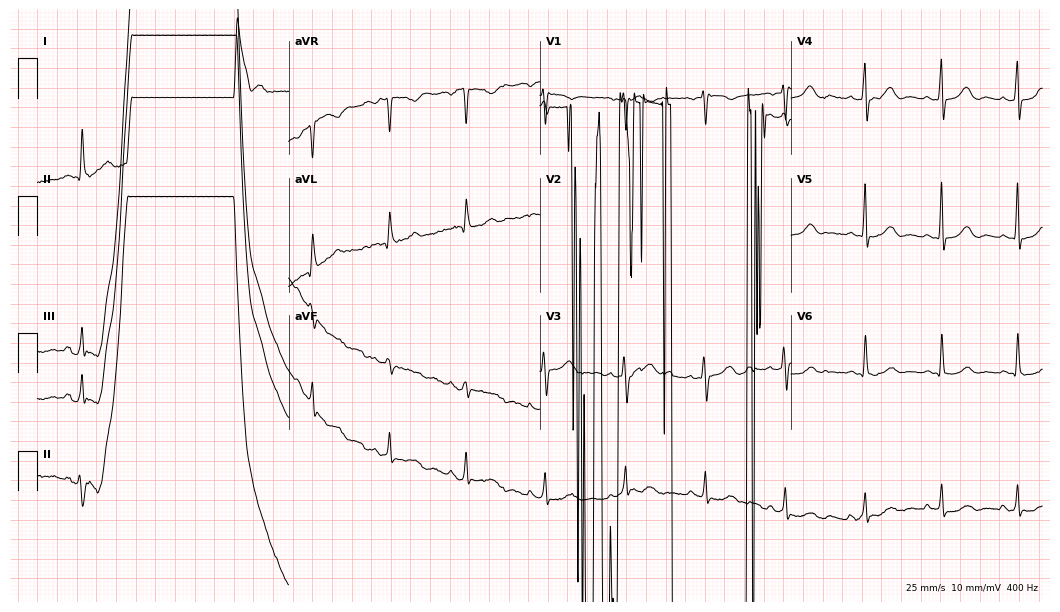
12-lead ECG from a female, 49 years old (10.2-second recording at 400 Hz). No first-degree AV block, right bundle branch block, left bundle branch block, sinus bradycardia, atrial fibrillation or sinus tachycardia recorded for this tracing. Only these six findings were labelled.